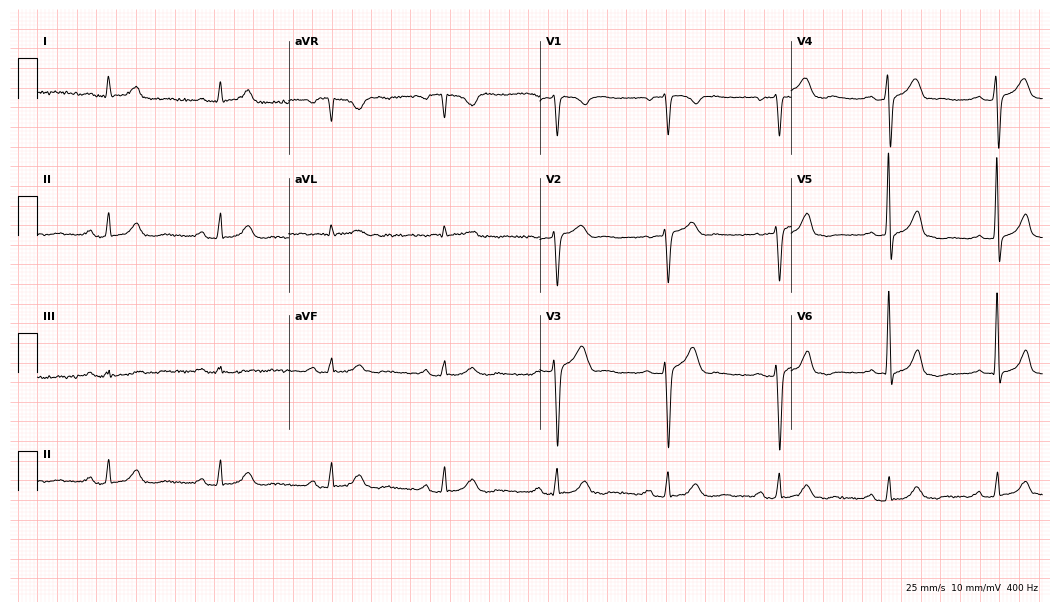
Standard 12-lead ECG recorded from a 71-year-old man. None of these six findings is recorded: first-degree AV block, right bundle branch block (RBBB), left bundle branch block (LBBB), sinus bradycardia, atrial fibrillation (AF), sinus tachycardia.